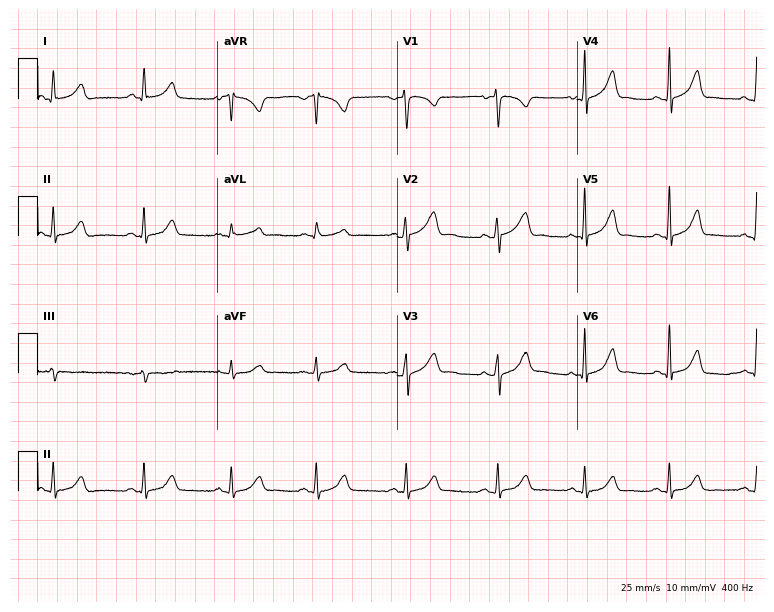
Standard 12-lead ECG recorded from a 31-year-old female patient (7.3-second recording at 400 Hz). Read as a normal ECG.